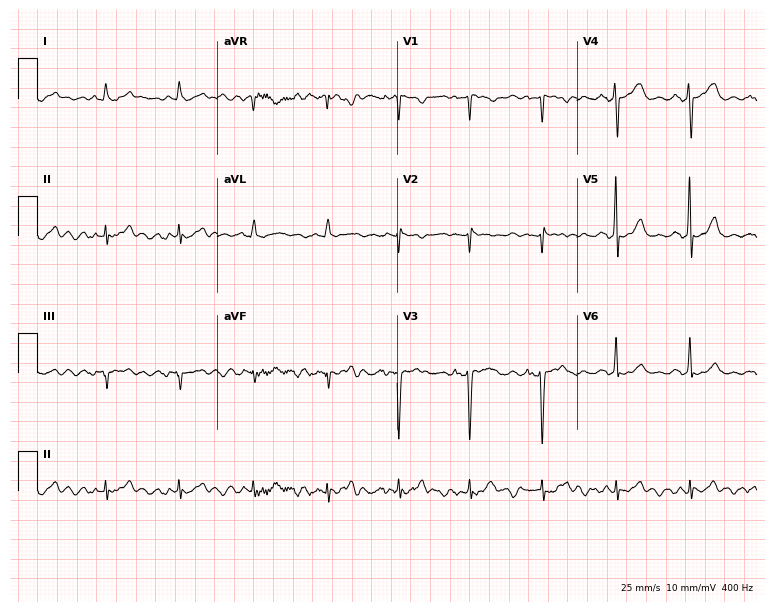
Standard 12-lead ECG recorded from a female patient, 50 years old (7.3-second recording at 400 Hz). None of these six findings is recorded: first-degree AV block, right bundle branch block (RBBB), left bundle branch block (LBBB), sinus bradycardia, atrial fibrillation (AF), sinus tachycardia. Findings outside these six are not listed.